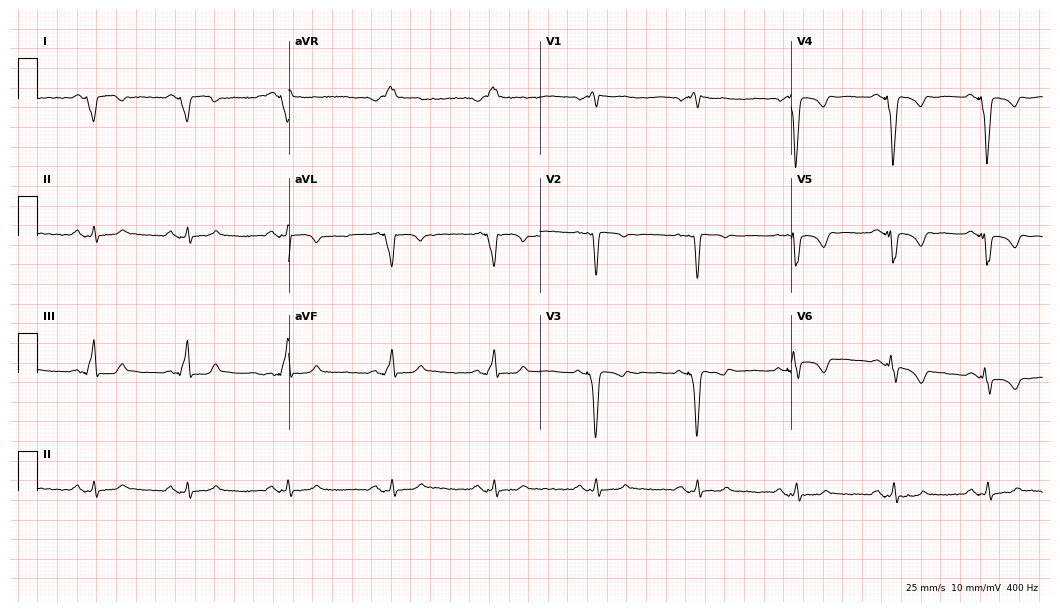
12-lead ECG (10.2-second recording at 400 Hz) from a 55-year-old woman. Screened for six findings — first-degree AV block, right bundle branch block, left bundle branch block, sinus bradycardia, atrial fibrillation, sinus tachycardia — none is recorded. Other findings, if any, are not listed.